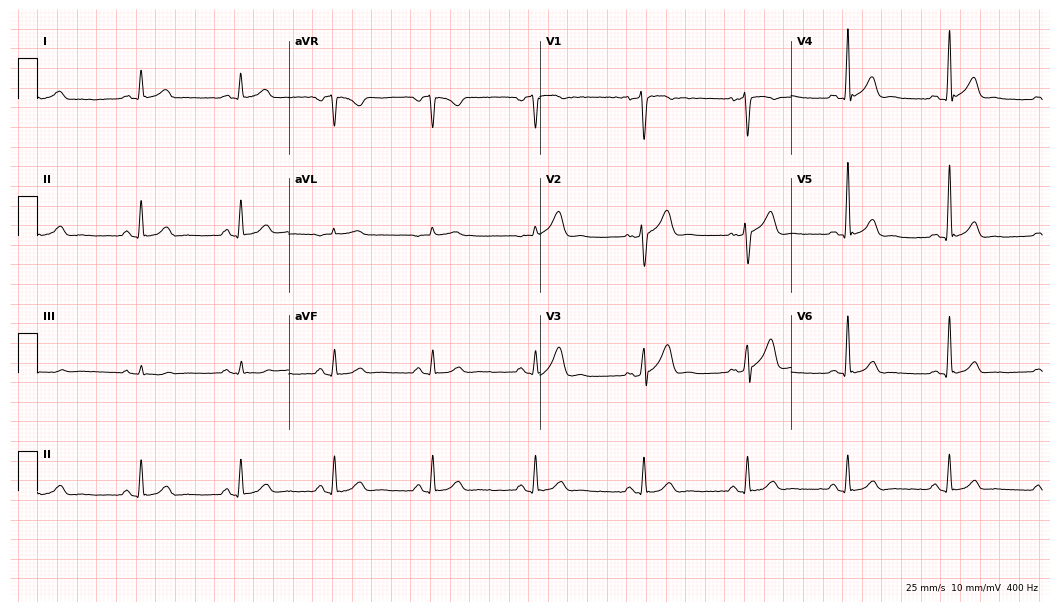
Electrocardiogram, a 39-year-old male patient. Overall reading on record: normal ECG.